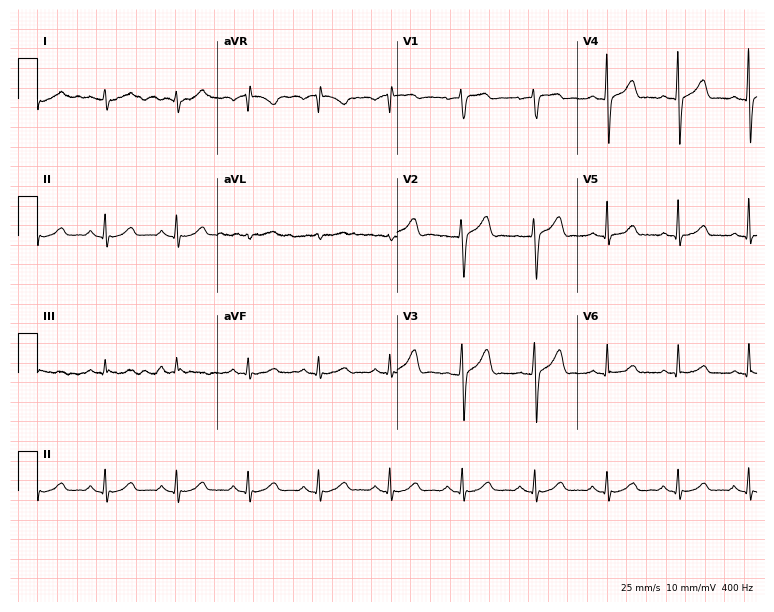
ECG (7.3-second recording at 400 Hz) — a 50-year-old woman. Screened for six findings — first-degree AV block, right bundle branch block (RBBB), left bundle branch block (LBBB), sinus bradycardia, atrial fibrillation (AF), sinus tachycardia — none is recorded.